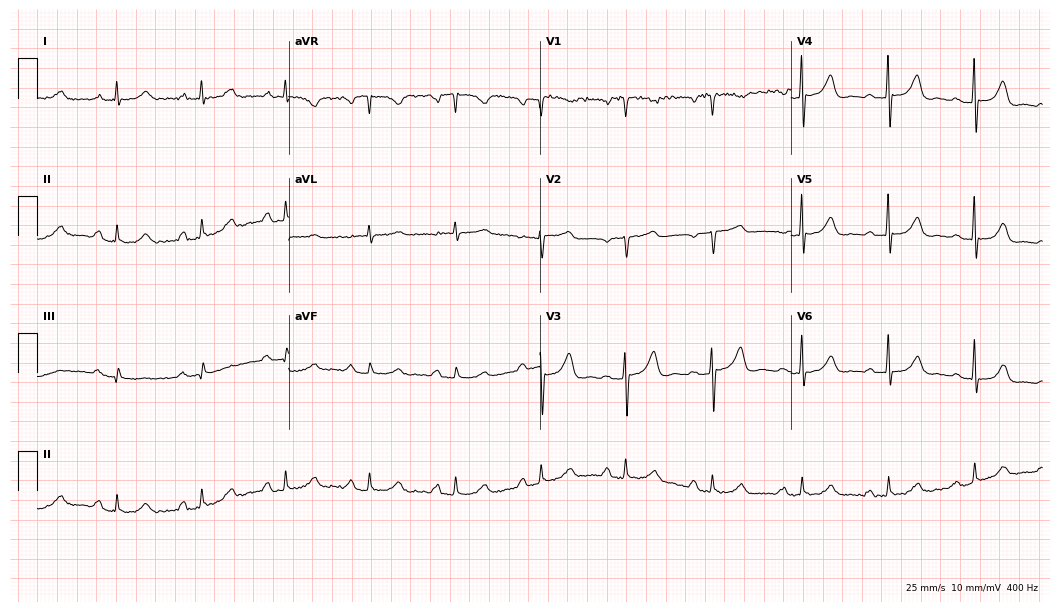
Resting 12-lead electrocardiogram (10.2-second recording at 400 Hz). Patient: a female, 76 years old. Read as a normal ECG.